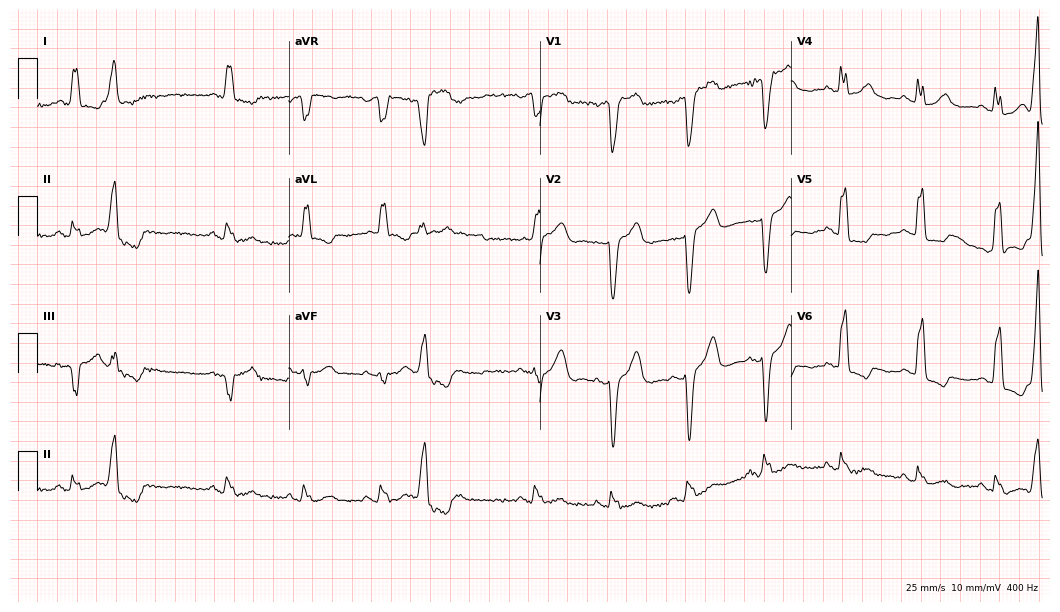
12-lead ECG (10.2-second recording at 400 Hz) from an 85-year-old female. Findings include left bundle branch block.